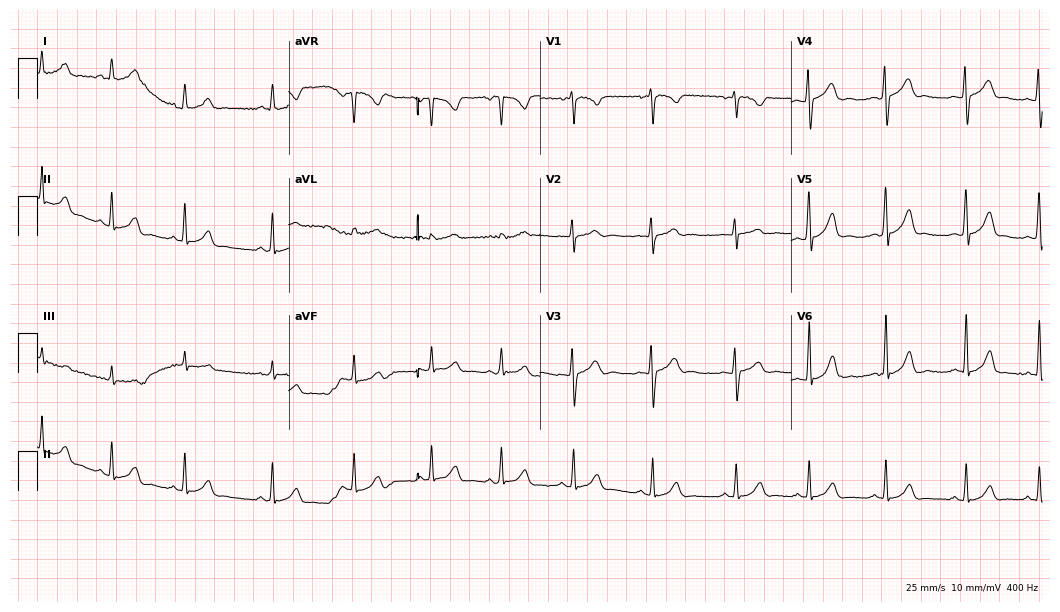
Standard 12-lead ECG recorded from a 24-year-old female. Read as a normal ECG.